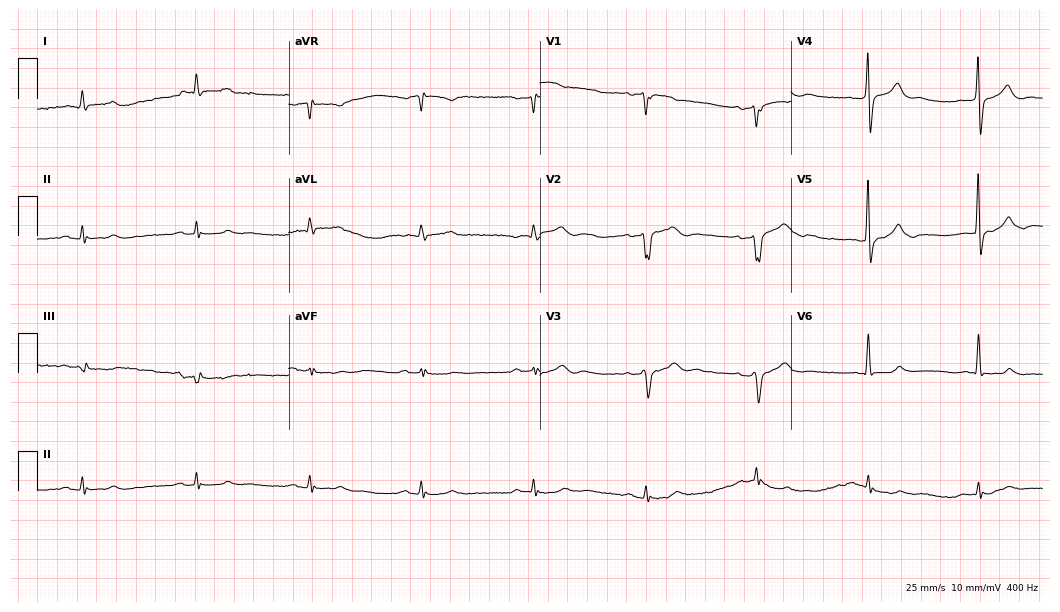
Electrocardiogram, an 84-year-old male. Of the six screened findings (first-degree AV block, right bundle branch block (RBBB), left bundle branch block (LBBB), sinus bradycardia, atrial fibrillation (AF), sinus tachycardia), none is recorded. Other findings, if any, are not listed.